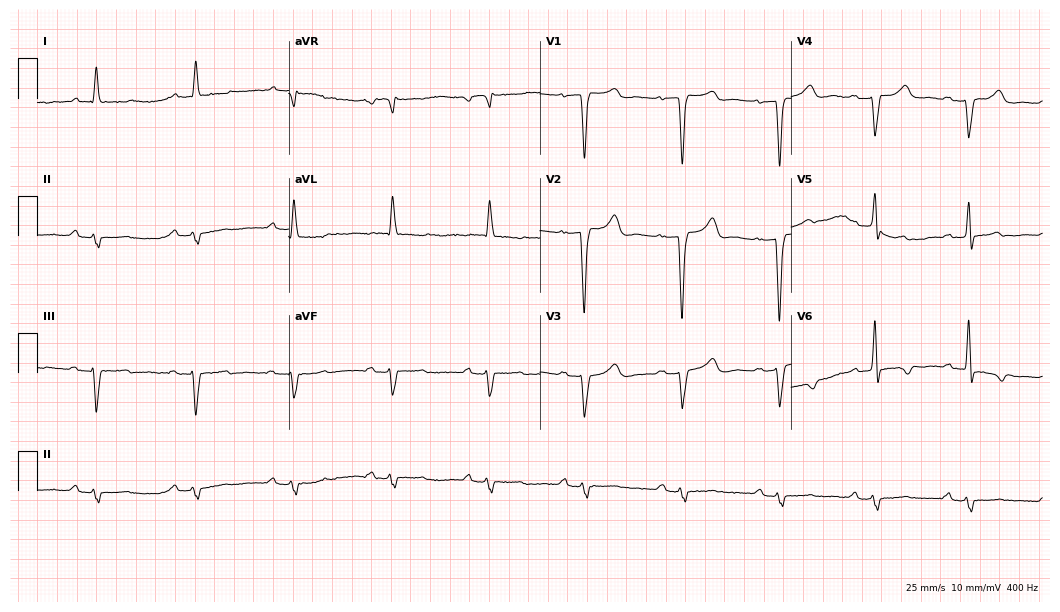
12-lead ECG from a male patient, 81 years old. Findings include first-degree AV block.